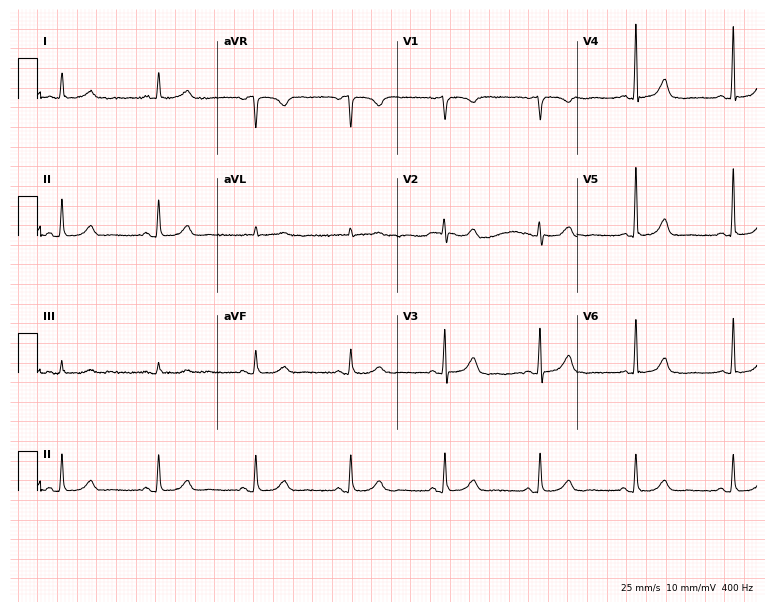
ECG — a 70-year-old female patient. Labelled as a normal ECG.